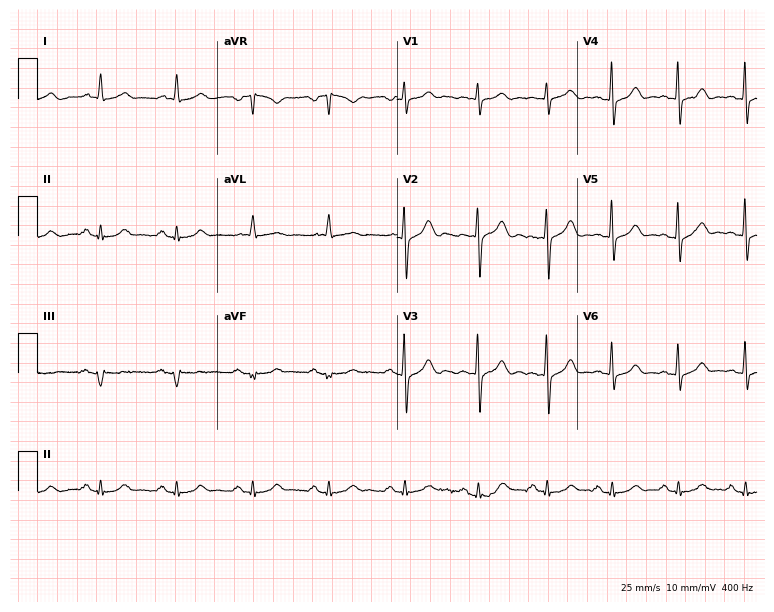
12-lead ECG from a male, 66 years old. No first-degree AV block, right bundle branch block, left bundle branch block, sinus bradycardia, atrial fibrillation or sinus tachycardia recorded for this tracing.